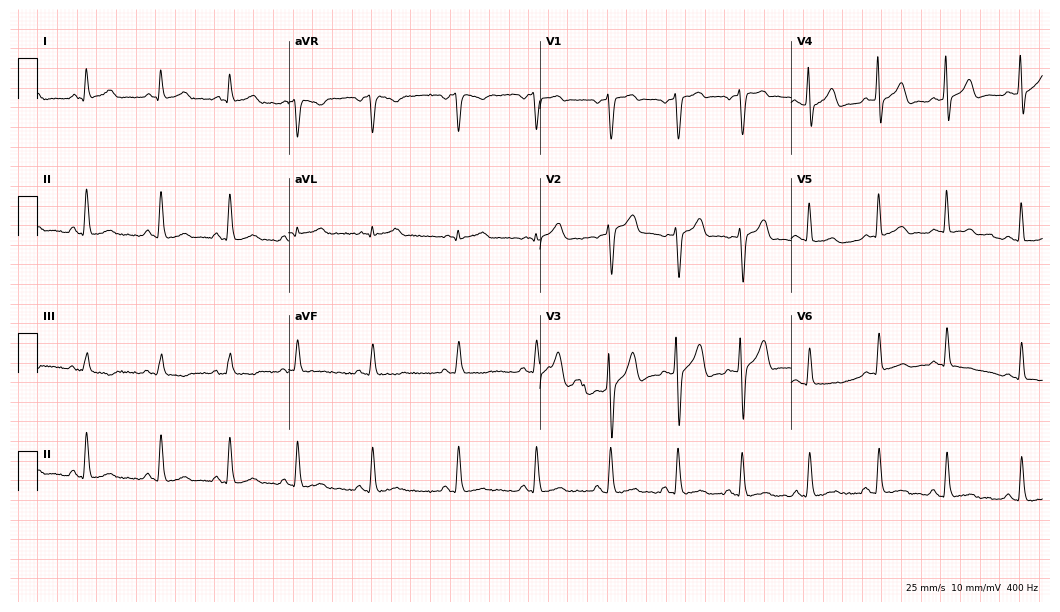
Standard 12-lead ECG recorded from a man, 49 years old. None of these six findings is recorded: first-degree AV block, right bundle branch block (RBBB), left bundle branch block (LBBB), sinus bradycardia, atrial fibrillation (AF), sinus tachycardia. Only these six findings were labelled.